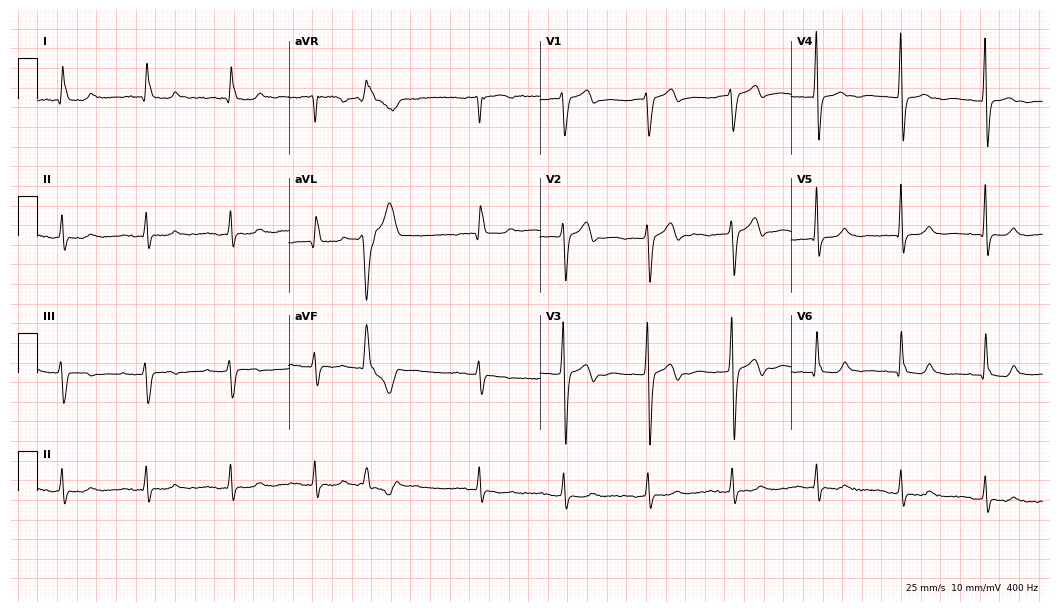
ECG — a man, 66 years old. Screened for six findings — first-degree AV block, right bundle branch block, left bundle branch block, sinus bradycardia, atrial fibrillation, sinus tachycardia — none is recorded. Other findings, if any, are not listed.